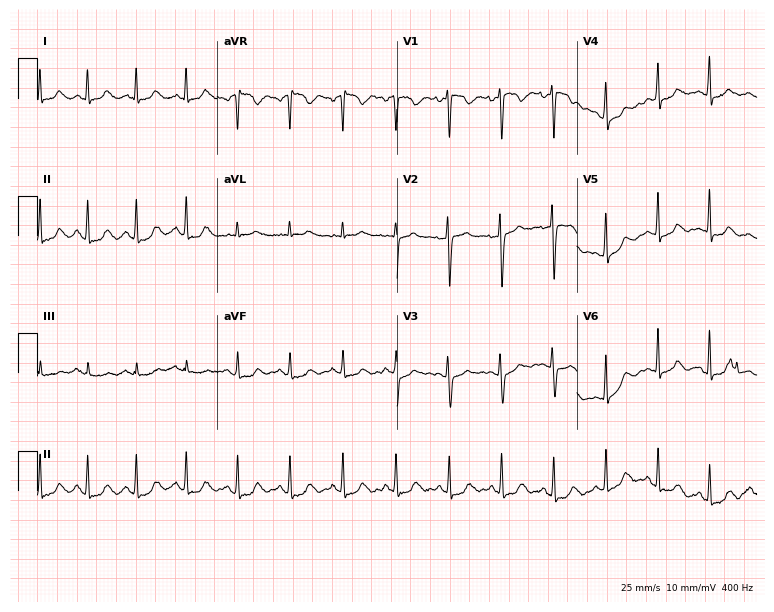
Electrocardiogram (7.3-second recording at 400 Hz), a 45-year-old woman. Interpretation includes sinus tachycardia (a sinus rate of 100 beats per minute or more).